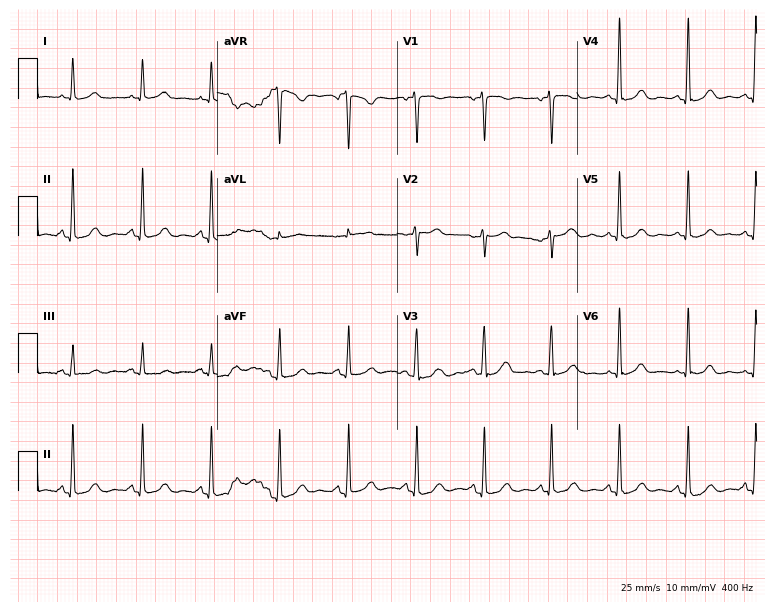
12-lead ECG from a female, 41 years old. Recorded interpretation: within normal limits.